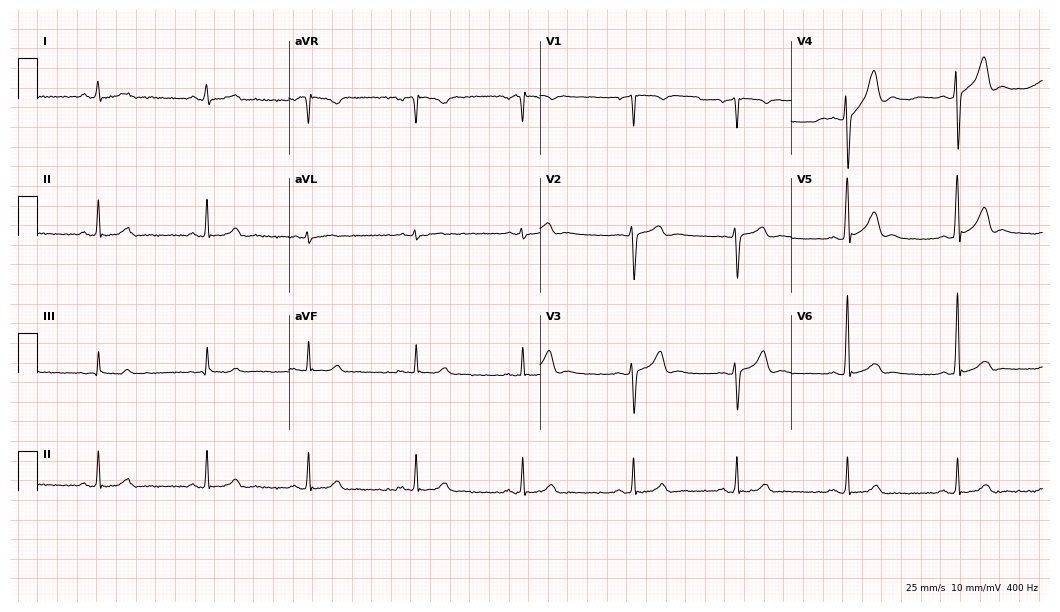
Electrocardiogram, a male, 40 years old. Overall reading on record: normal ECG.